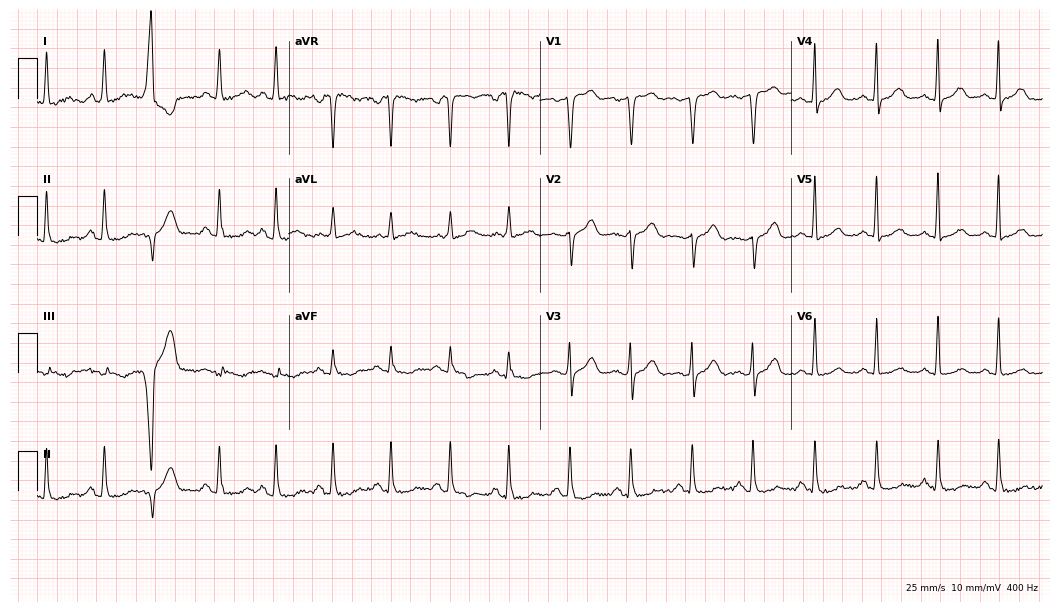
Standard 12-lead ECG recorded from a female patient, 62 years old. None of these six findings is recorded: first-degree AV block, right bundle branch block, left bundle branch block, sinus bradycardia, atrial fibrillation, sinus tachycardia.